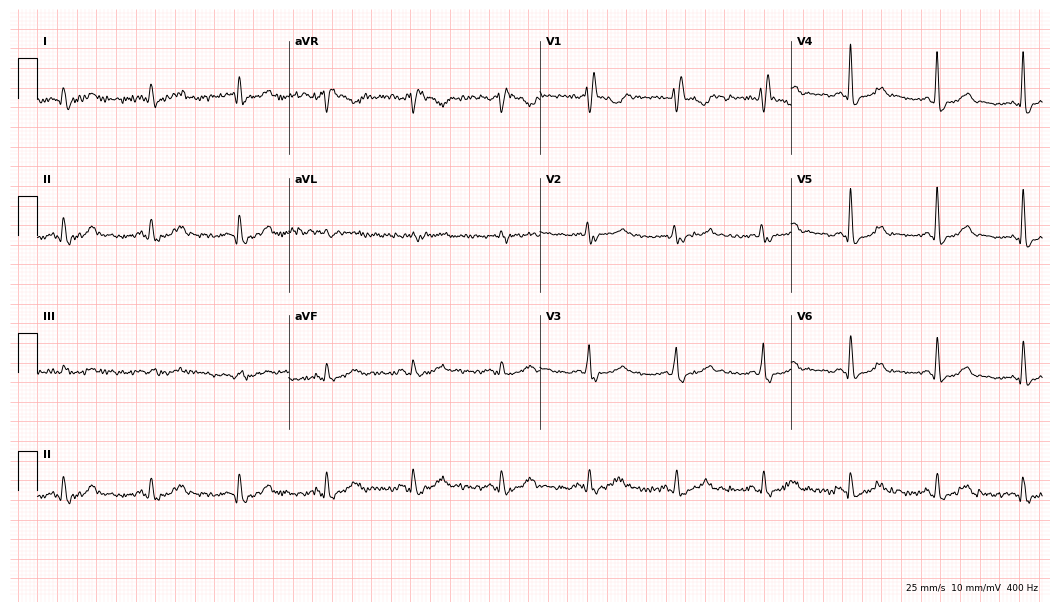
Resting 12-lead electrocardiogram (10.2-second recording at 400 Hz). Patient: a male, 71 years old. The tracing shows right bundle branch block.